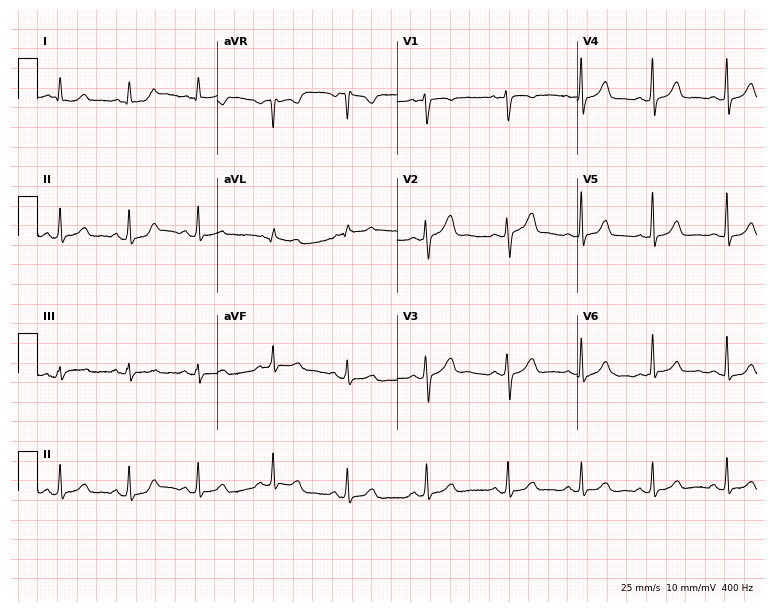
ECG (7.3-second recording at 400 Hz) — a 30-year-old woman. Labelled as a normal ECG.